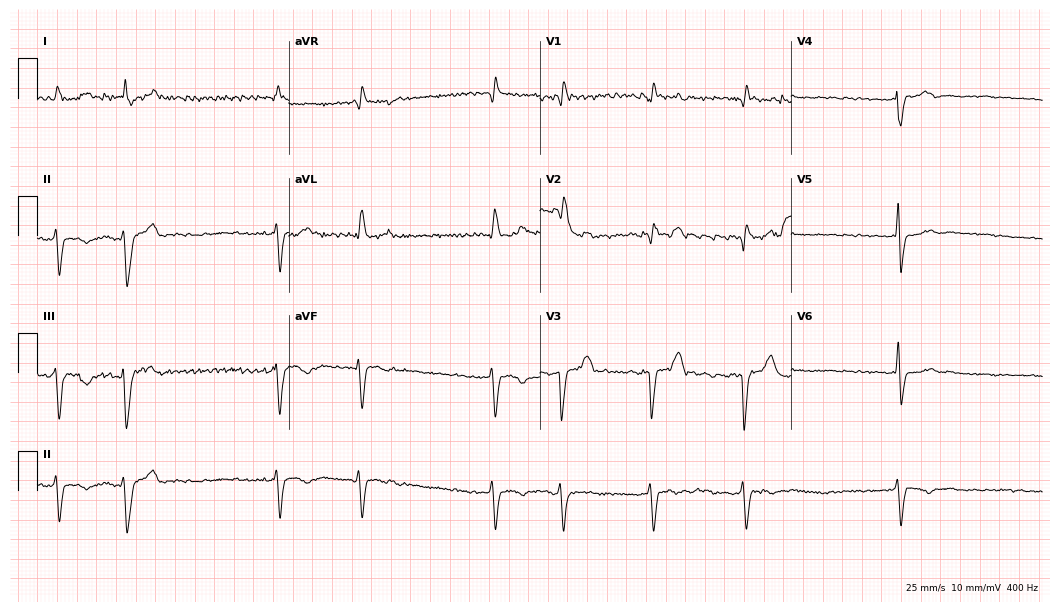
ECG (10.2-second recording at 400 Hz) — an 80-year-old man. Findings include right bundle branch block, atrial fibrillation.